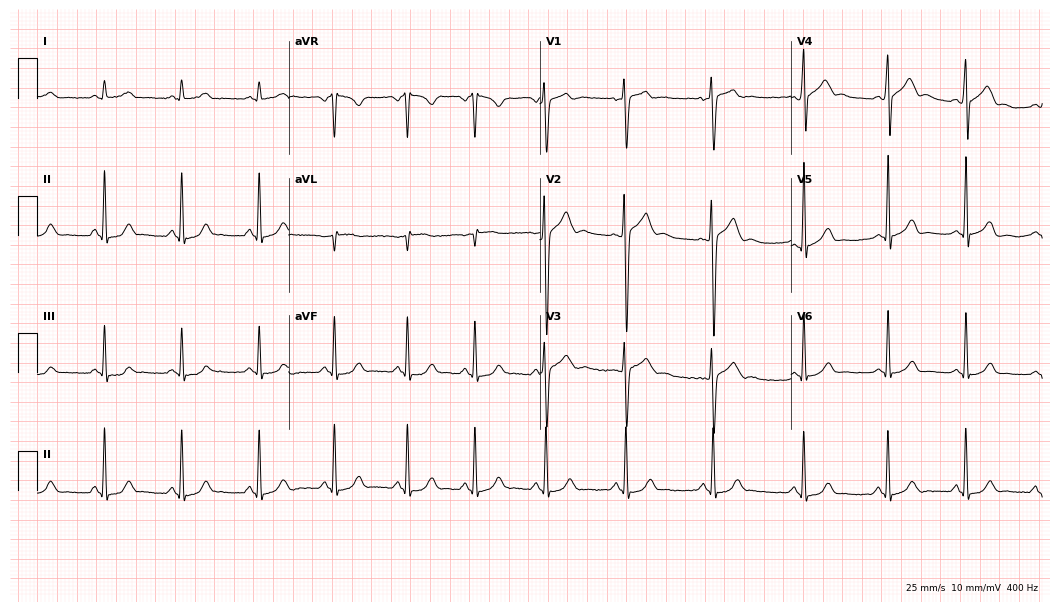
Resting 12-lead electrocardiogram. Patient: a male, 39 years old. None of these six findings is recorded: first-degree AV block, right bundle branch block, left bundle branch block, sinus bradycardia, atrial fibrillation, sinus tachycardia. Only these six findings were labelled.